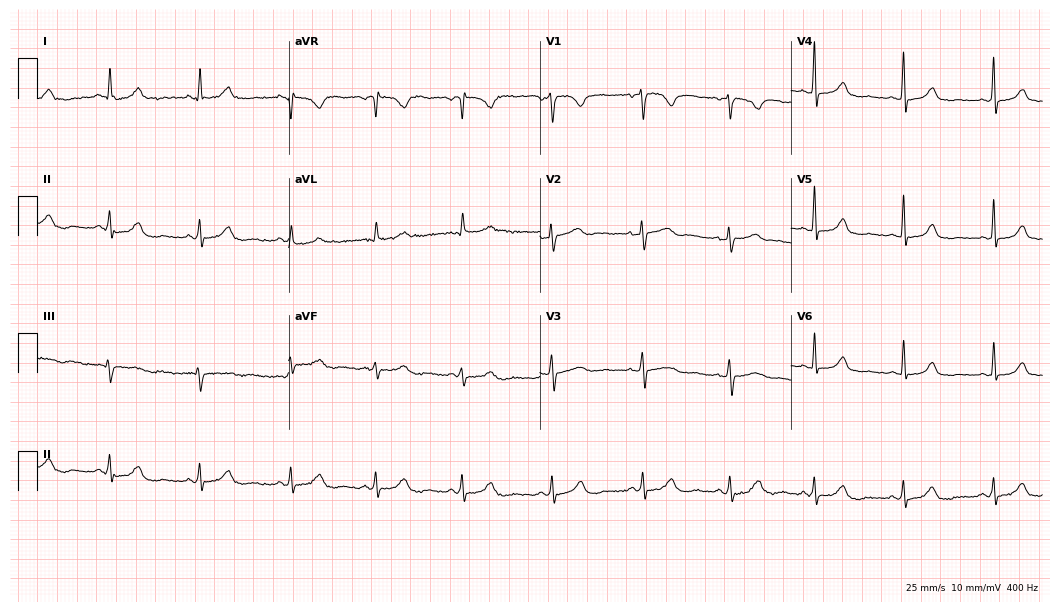
Resting 12-lead electrocardiogram. Patient: a 45-year-old woman. Read as a normal ECG.